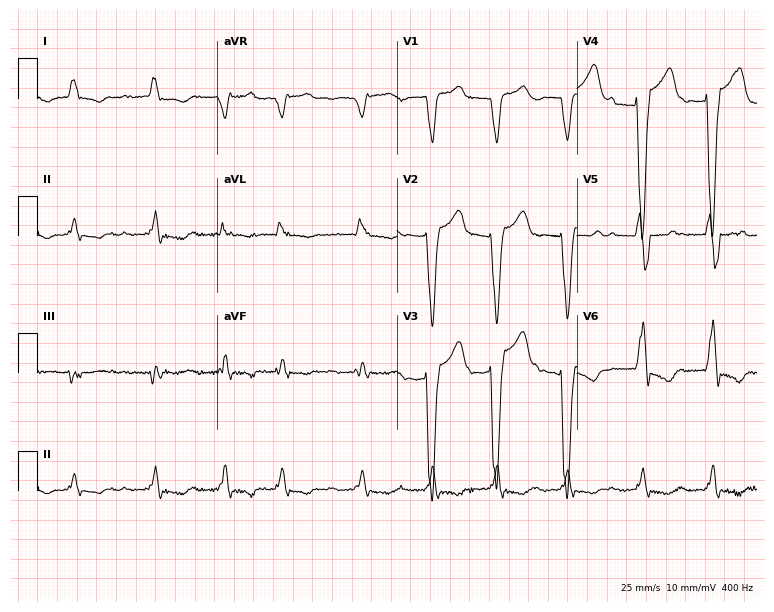
Electrocardiogram (7.3-second recording at 400 Hz), a male, 77 years old. Of the six screened findings (first-degree AV block, right bundle branch block (RBBB), left bundle branch block (LBBB), sinus bradycardia, atrial fibrillation (AF), sinus tachycardia), none is recorded.